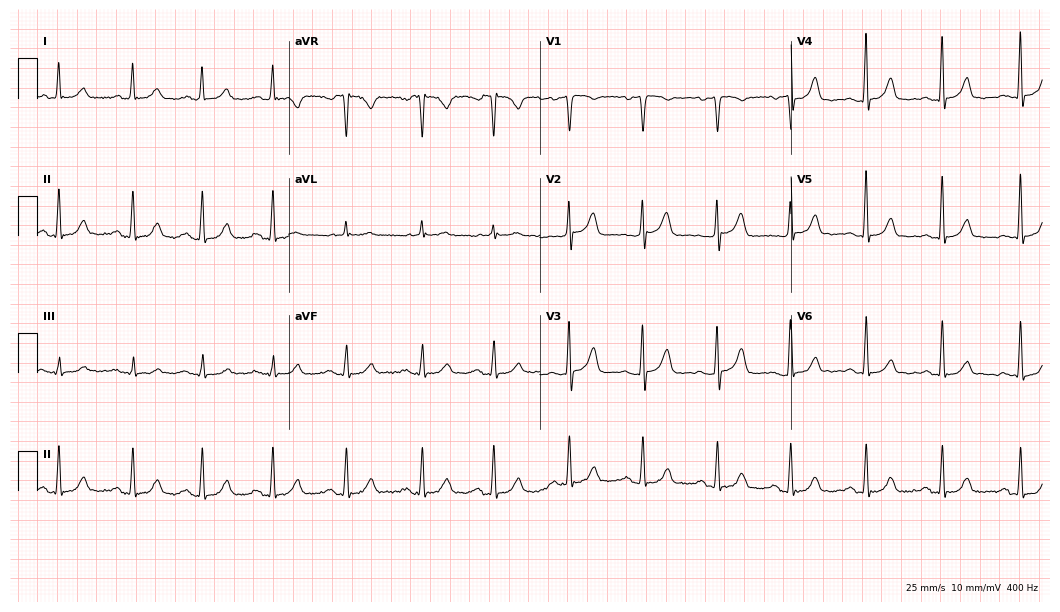
ECG (10.2-second recording at 400 Hz) — a 48-year-old female patient. Labelled as a normal ECG.